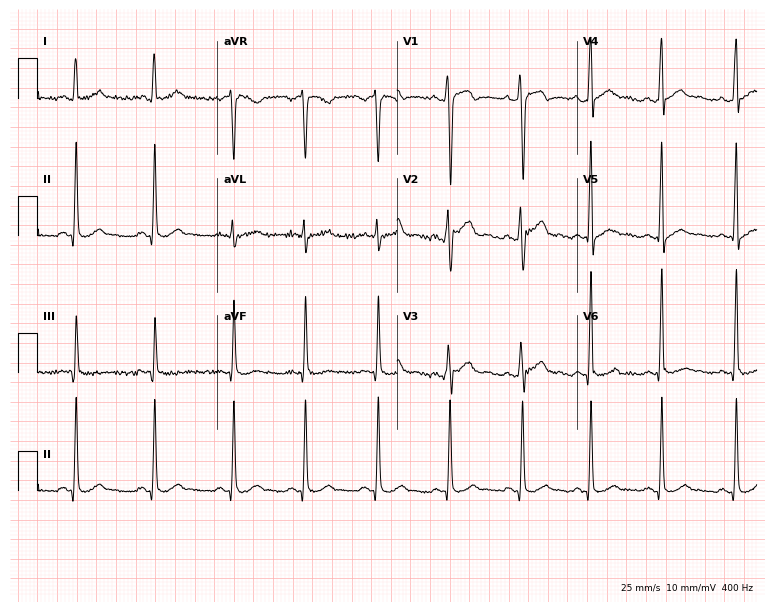
12-lead ECG from a male patient, 22 years old. Labelled as a normal ECG.